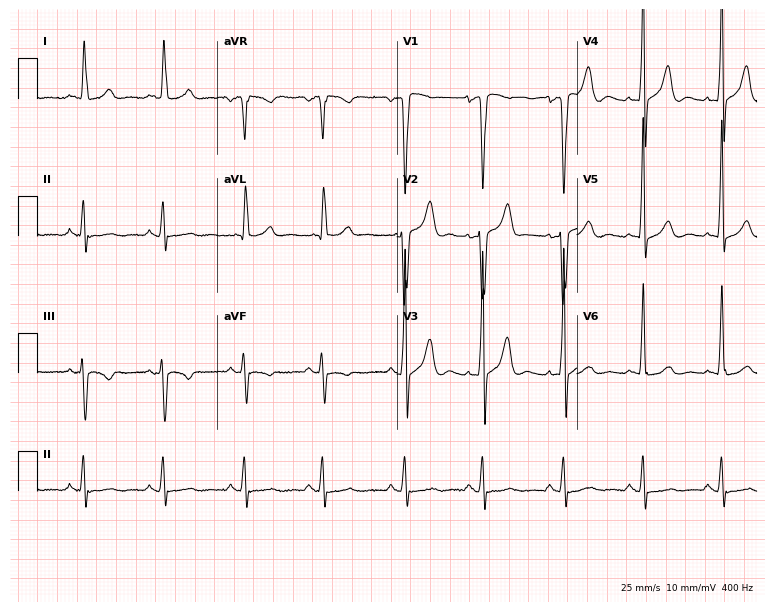
Resting 12-lead electrocardiogram. Patient: a 66-year-old male. None of these six findings is recorded: first-degree AV block, right bundle branch block, left bundle branch block, sinus bradycardia, atrial fibrillation, sinus tachycardia. Only these six findings were labelled.